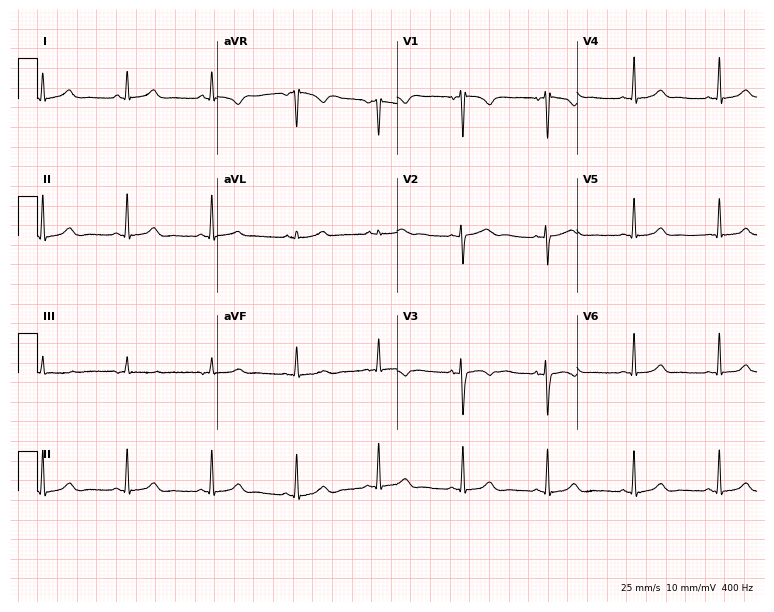
12-lead ECG from a female, 30 years old (7.3-second recording at 400 Hz). No first-degree AV block, right bundle branch block, left bundle branch block, sinus bradycardia, atrial fibrillation or sinus tachycardia recorded for this tracing. Findings outside these six are not listed.